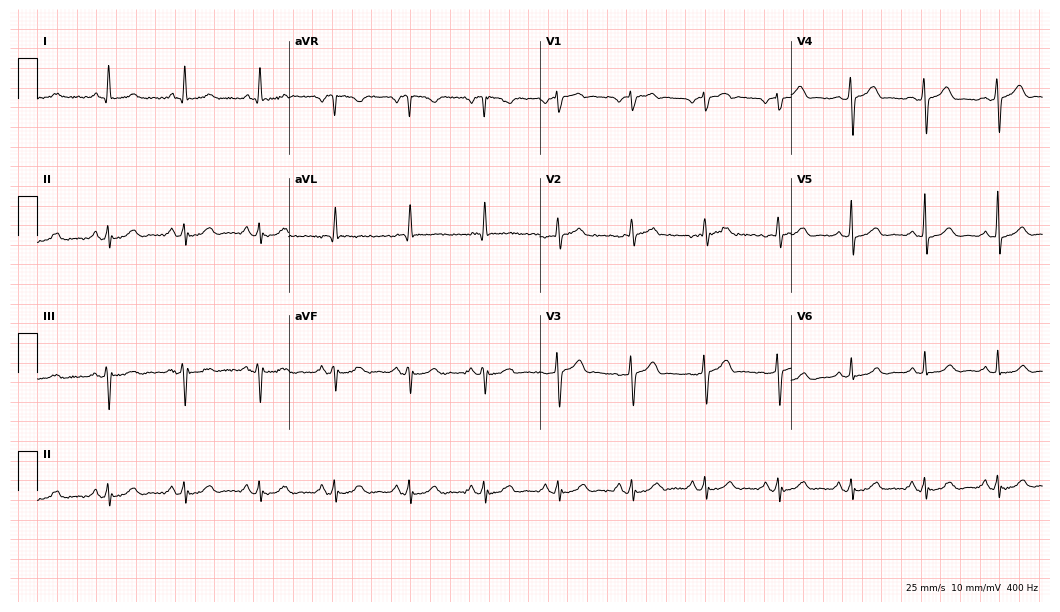
ECG (10.2-second recording at 400 Hz) — a 69-year-old man. Screened for six findings — first-degree AV block, right bundle branch block, left bundle branch block, sinus bradycardia, atrial fibrillation, sinus tachycardia — none is recorded.